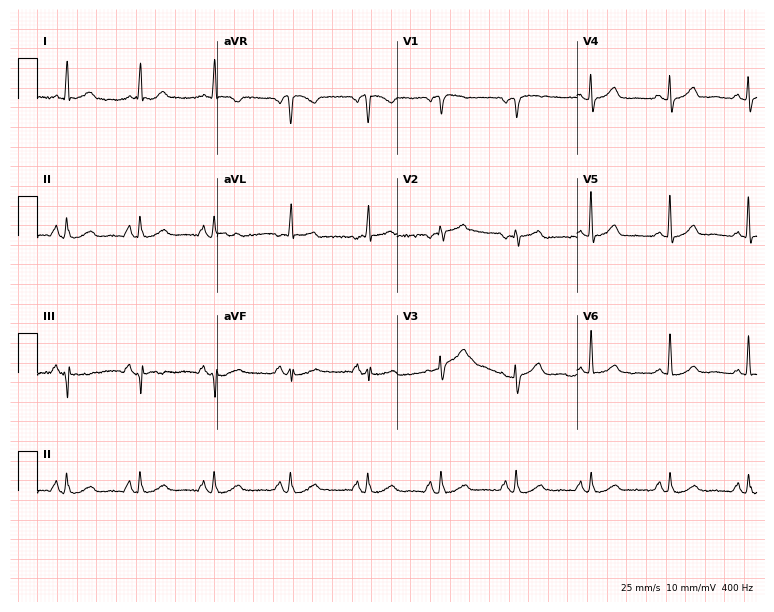
12-lead ECG from a 79-year-old female patient. Screened for six findings — first-degree AV block, right bundle branch block, left bundle branch block, sinus bradycardia, atrial fibrillation, sinus tachycardia — none is recorded.